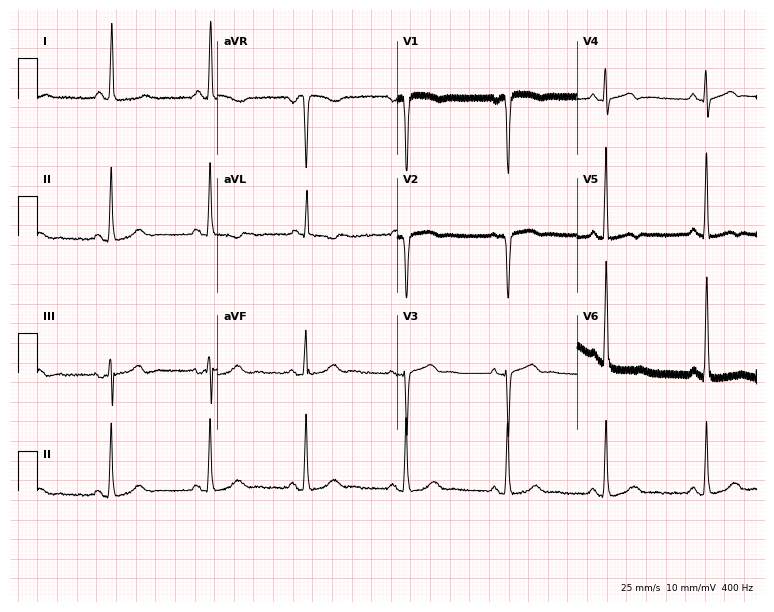
ECG — a woman, 74 years old. Screened for six findings — first-degree AV block, right bundle branch block (RBBB), left bundle branch block (LBBB), sinus bradycardia, atrial fibrillation (AF), sinus tachycardia — none is recorded. Other findings, if any, are not listed.